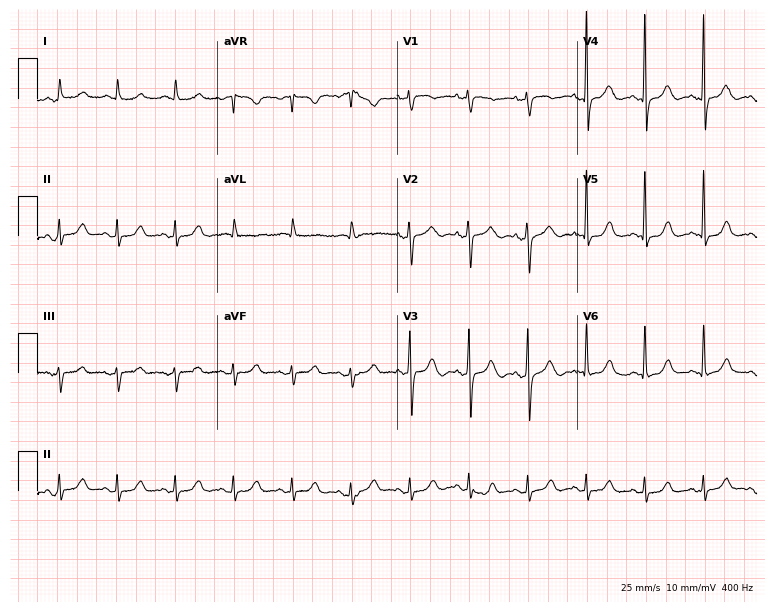
Resting 12-lead electrocardiogram (7.3-second recording at 400 Hz). Patient: a female, 66 years old. The tracing shows sinus tachycardia (a sinus rate of 100 beats per minute or more).